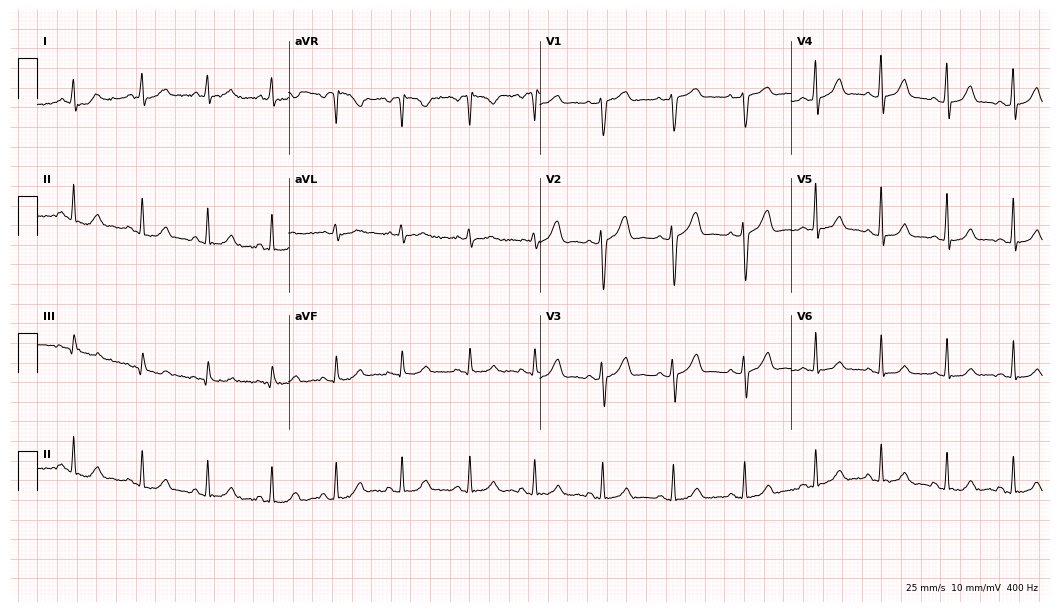
Electrocardiogram, a 25-year-old female patient. Overall reading on record: normal ECG.